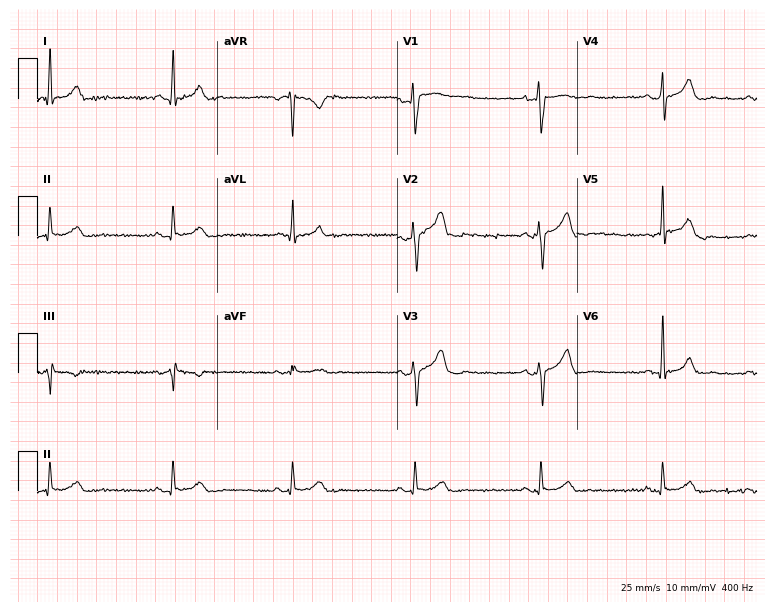
12-lead ECG from a man, 30 years old. Findings include sinus bradycardia (a sinus rate of 50 beats per minute or less).